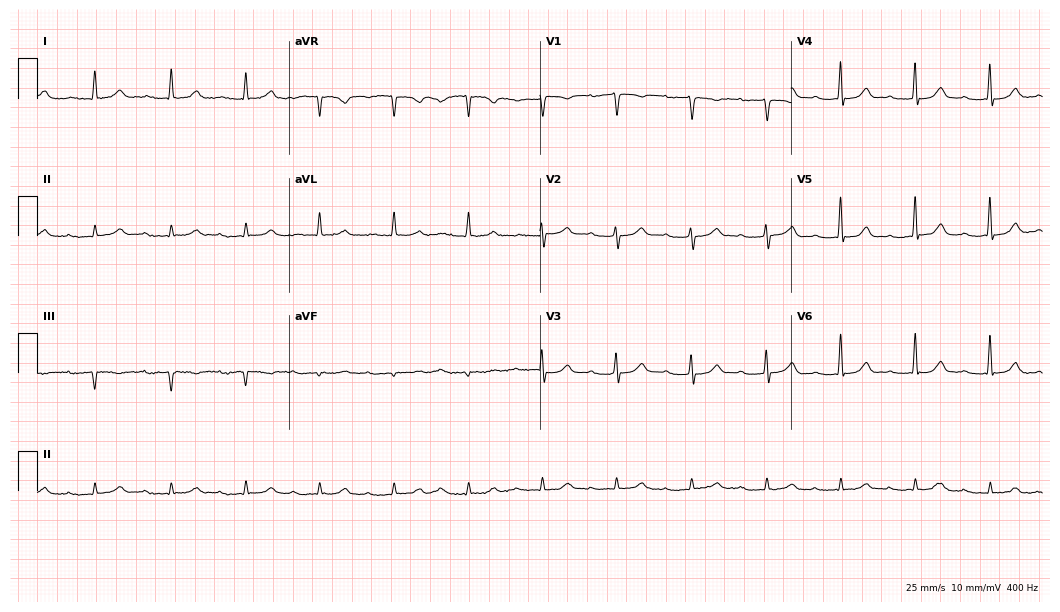
Electrocardiogram, an 84-year-old male patient. Interpretation includes first-degree AV block.